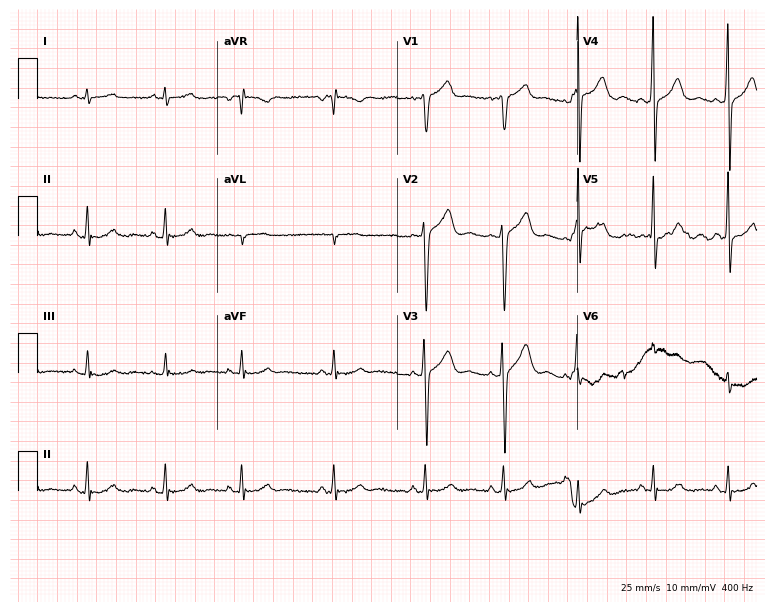
Resting 12-lead electrocardiogram. Patient: a man, 48 years old. Read as a normal ECG.